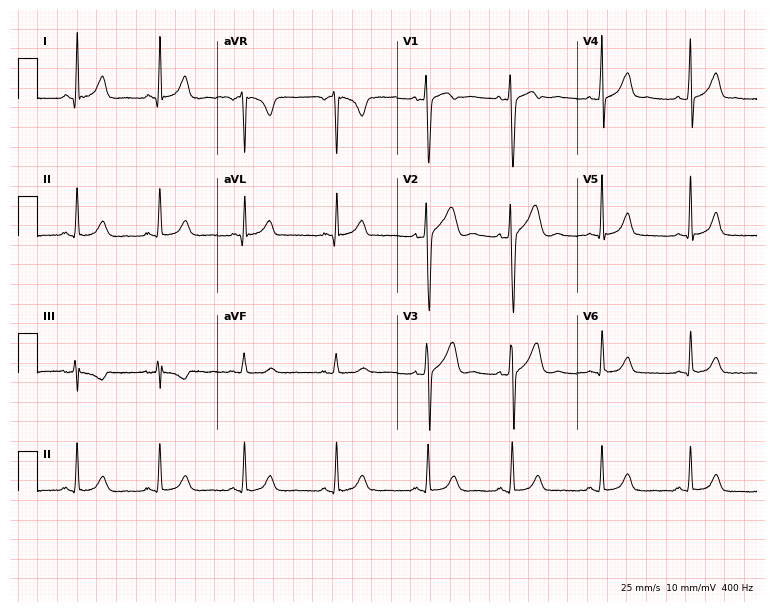
Electrocardiogram, a female, 26 years old. Of the six screened findings (first-degree AV block, right bundle branch block (RBBB), left bundle branch block (LBBB), sinus bradycardia, atrial fibrillation (AF), sinus tachycardia), none is recorded.